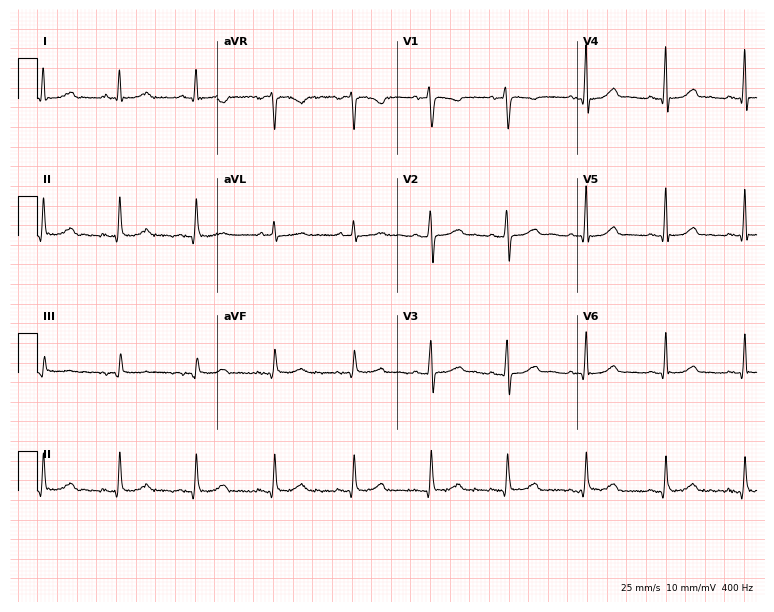
ECG — a woman, 63 years old. Labelled as a normal ECG.